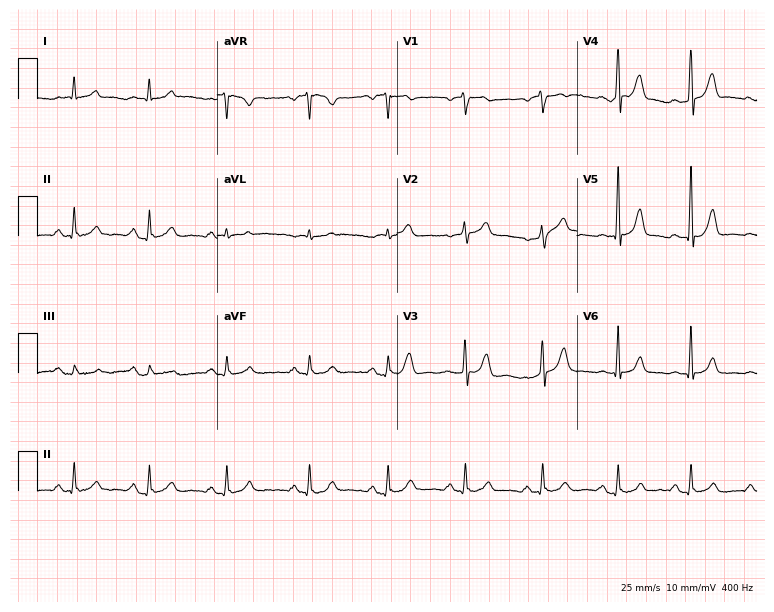
ECG — a 41-year-old male. Screened for six findings — first-degree AV block, right bundle branch block, left bundle branch block, sinus bradycardia, atrial fibrillation, sinus tachycardia — none is recorded.